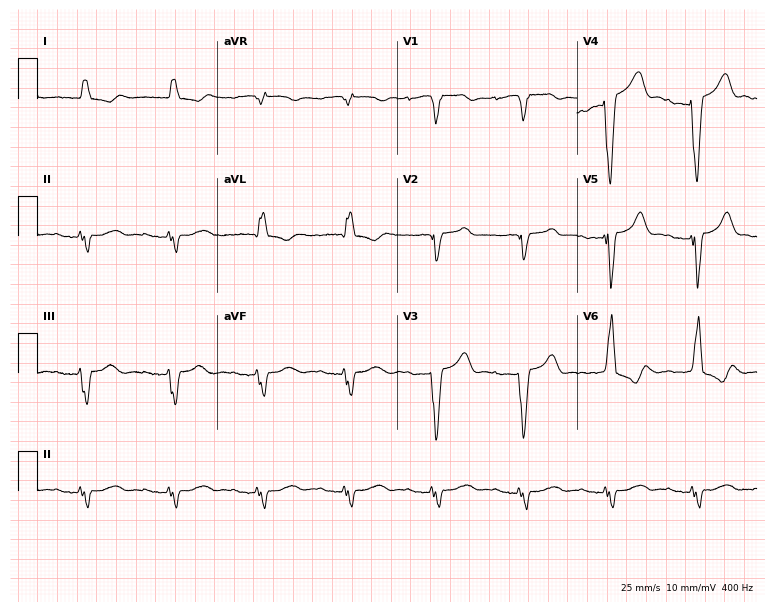
Standard 12-lead ECG recorded from a 77-year-old woman (7.3-second recording at 400 Hz). The tracing shows first-degree AV block, left bundle branch block.